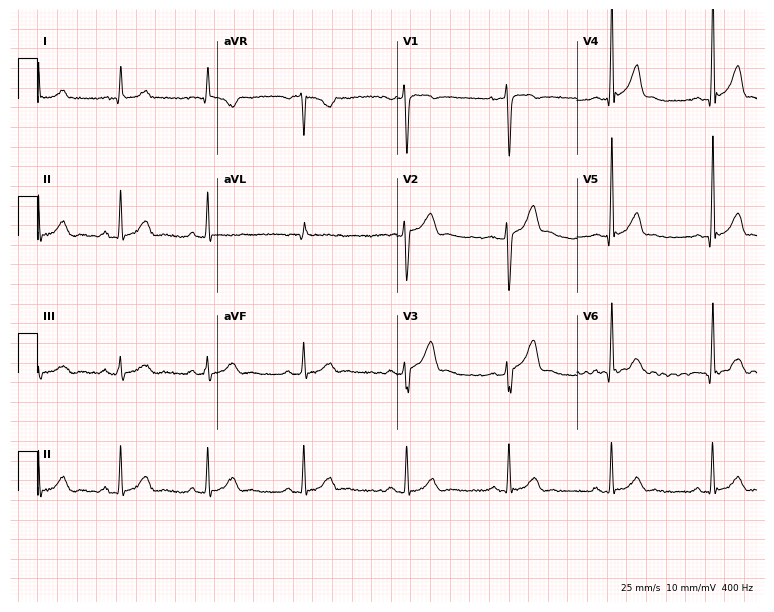
Electrocardiogram, a 24-year-old male patient. Overall reading on record: normal ECG.